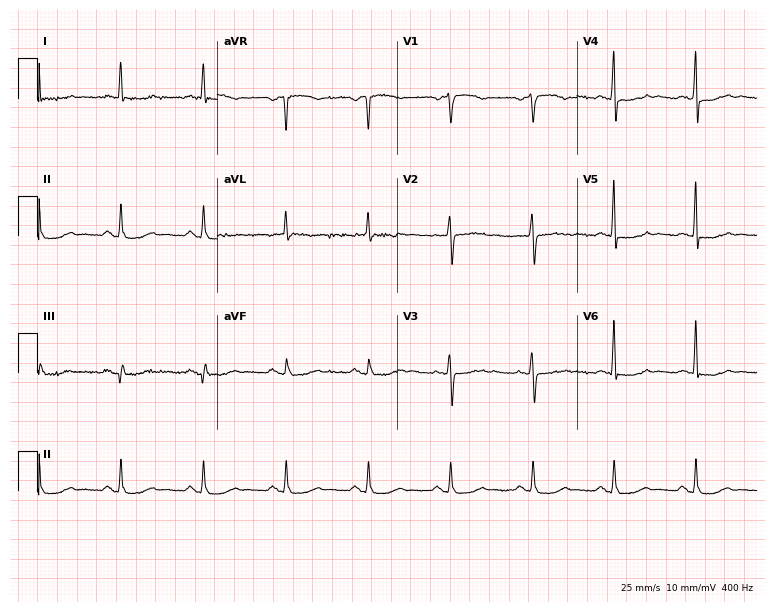
12-lead ECG from a 75-year-old female patient (7.3-second recording at 400 Hz). No first-degree AV block, right bundle branch block (RBBB), left bundle branch block (LBBB), sinus bradycardia, atrial fibrillation (AF) or sinus tachycardia recorded for this tracing. Other findings, if any, are not listed.